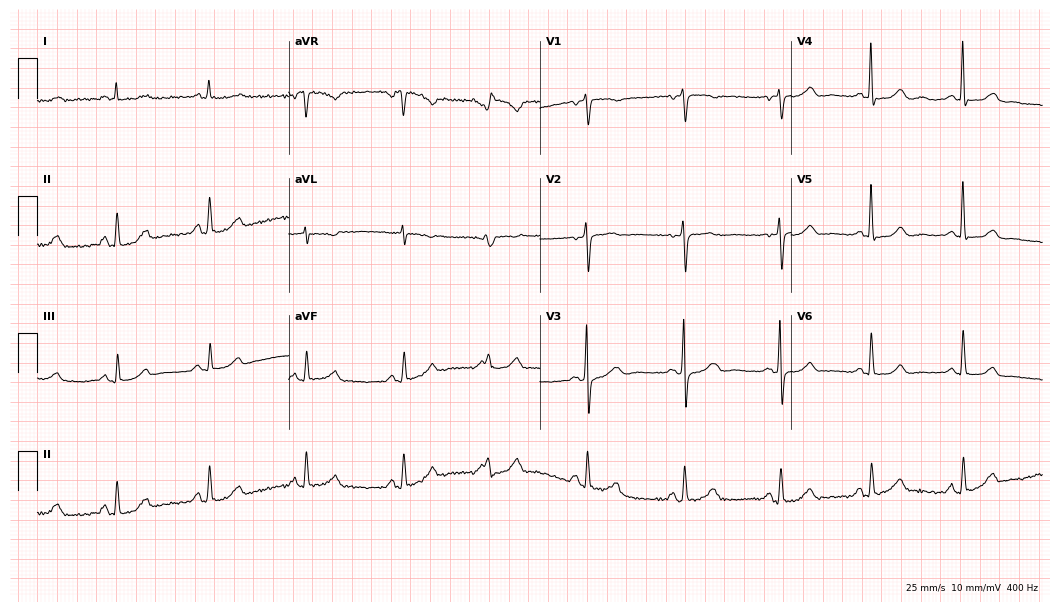
Electrocardiogram, a woman, 61 years old. Overall reading on record: normal ECG.